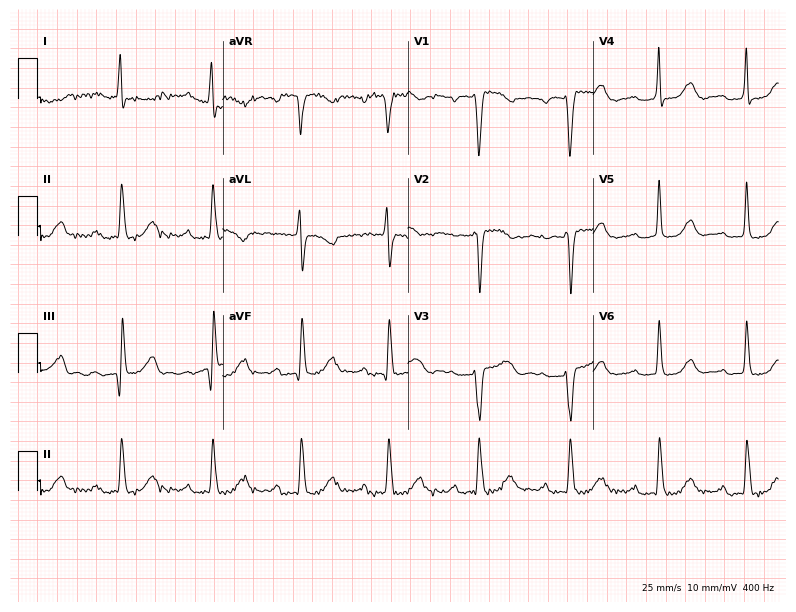
Electrocardiogram, a woman, 60 years old. Of the six screened findings (first-degree AV block, right bundle branch block, left bundle branch block, sinus bradycardia, atrial fibrillation, sinus tachycardia), none is recorded.